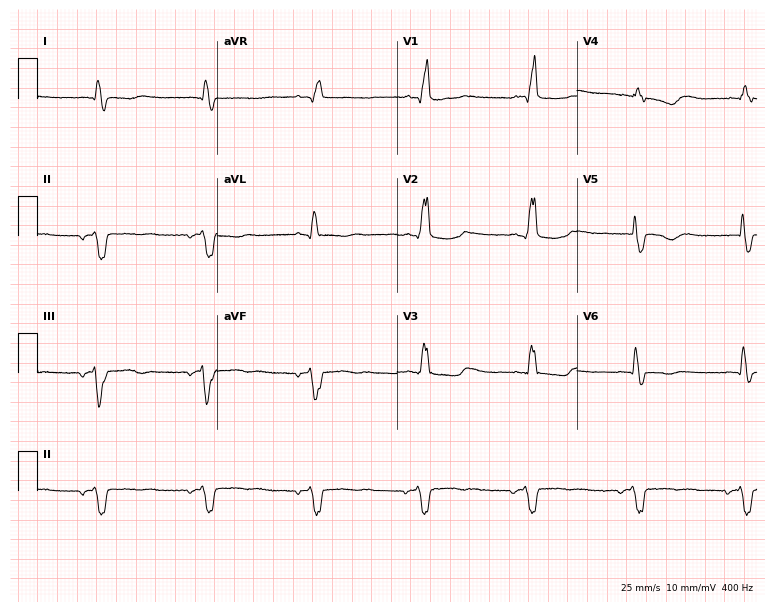
Electrocardiogram (7.3-second recording at 400 Hz), a 47-year-old male. Interpretation includes right bundle branch block (RBBB).